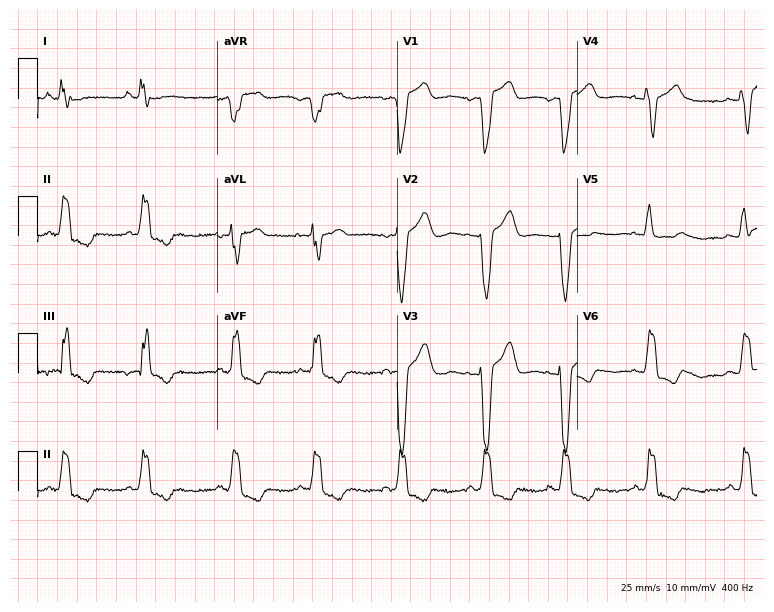
Standard 12-lead ECG recorded from a woman, 85 years old. None of these six findings is recorded: first-degree AV block, right bundle branch block (RBBB), left bundle branch block (LBBB), sinus bradycardia, atrial fibrillation (AF), sinus tachycardia. Only these six findings were labelled.